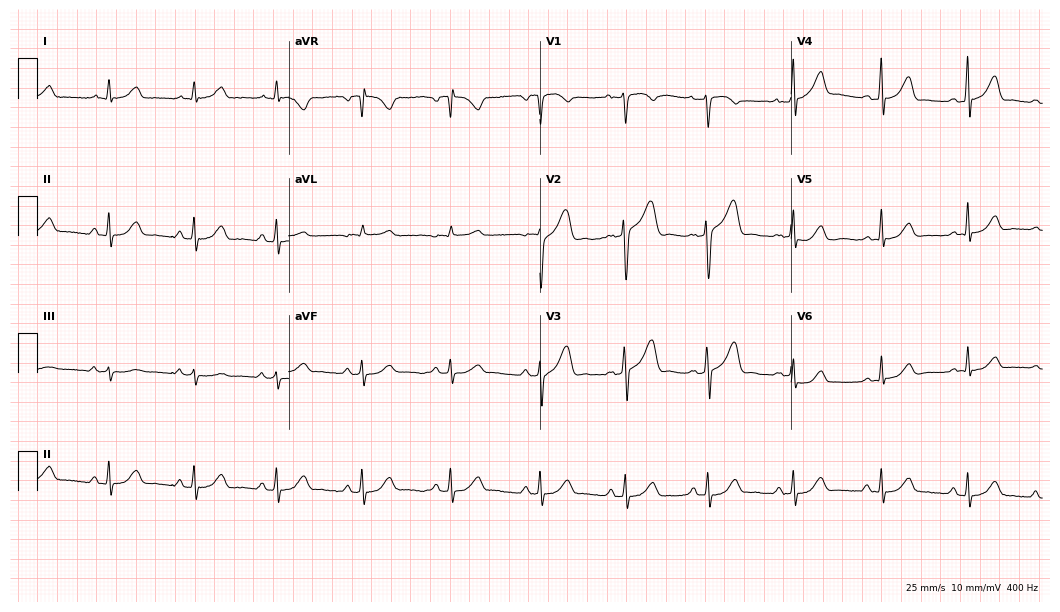
Electrocardiogram, a 66-year-old male patient. Overall reading on record: normal ECG.